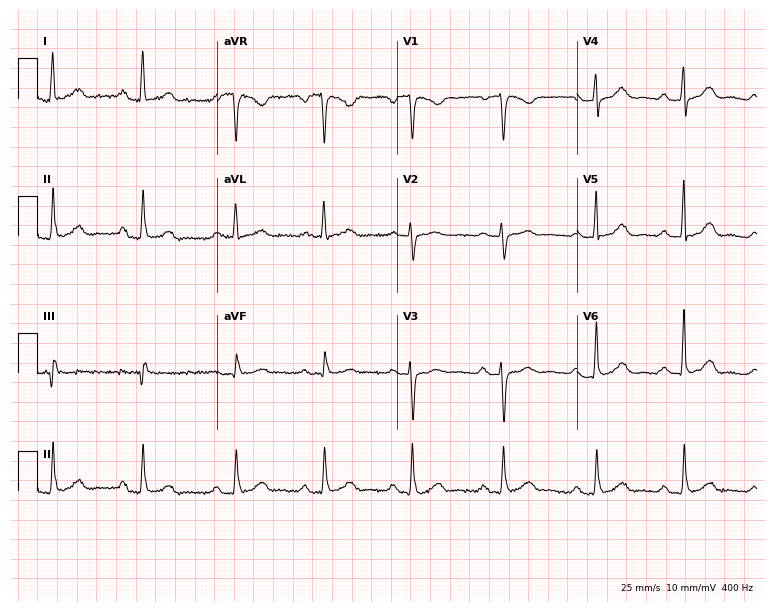
12-lead ECG from a 30-year-old woman (7.3-second recording at 400 Hz). Shows first-degree AV block.